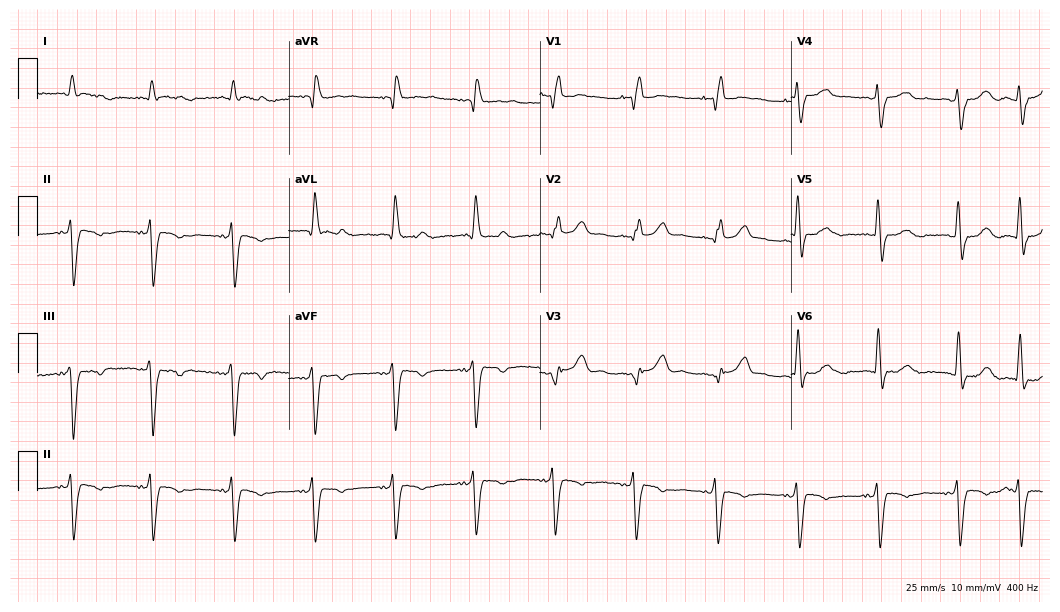
Resting 12-lead electrocardiogram. Patient: an 88-year-old man. The tracing shows right bundle branch block.